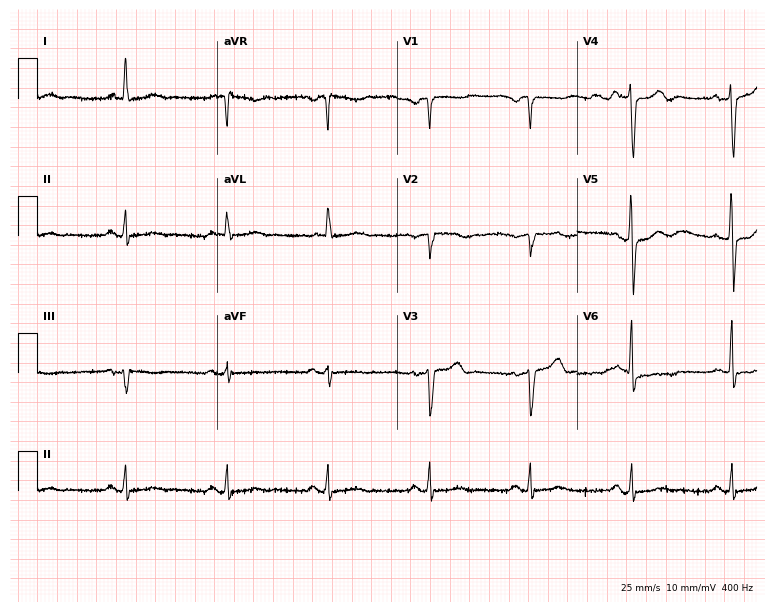
Resting 12-lead electrocardiogram (7.3-second recording at 400 Hz). Patient: a male, 81 years old. None of these six findings is recorded: first-degree AV block, right bundle branch block, left bundle branch block, sinus bradycardia, atrial fibrillation, sinus tachycardia. Findings outside these six are not listed.